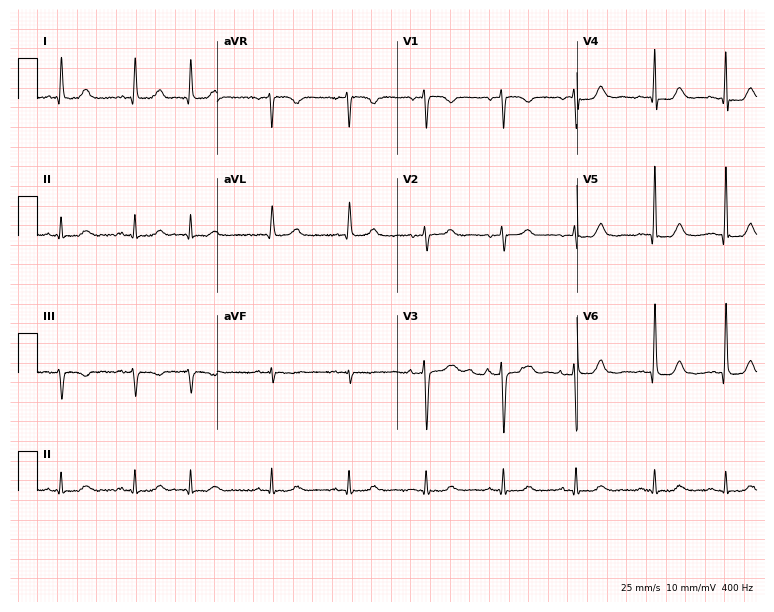
Standard 12-lead ECG recorded from a 78-year-old female patient. None of these six findings is recorded: first-degree AV block, right bundle branch block, left bundle branch block, sinus bradycardia, atrial fibrillation, sinus tachycardia.